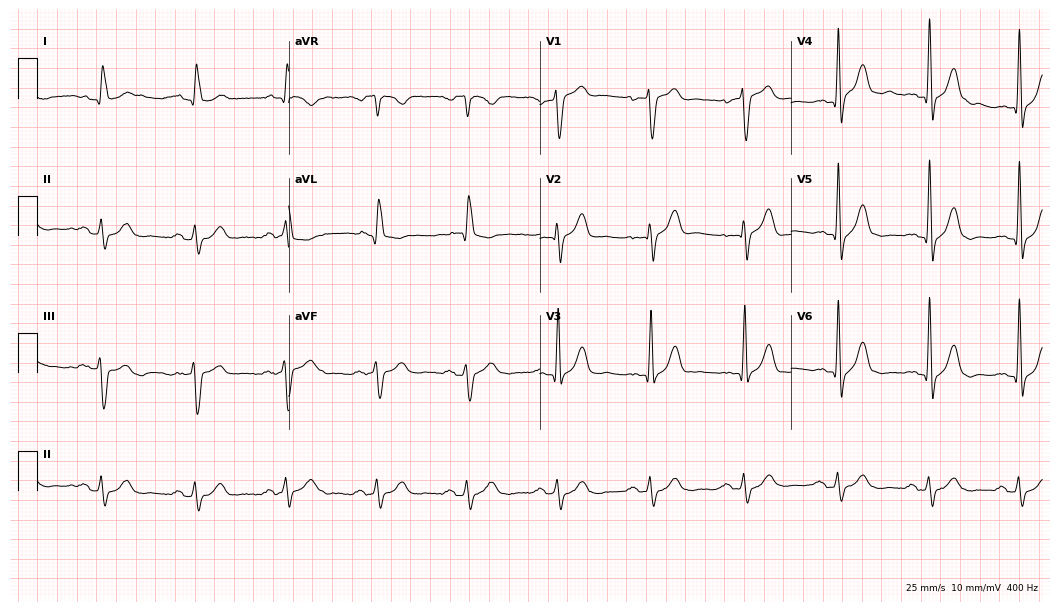
Standard 12-lead ECG recorded from a man, 73 years old. None of these six findings is recorded: first-degree AV block, right bundle branch block, left bundle branch block, sinus bradycardia, atrial fibrillation, sinus tachycardia.